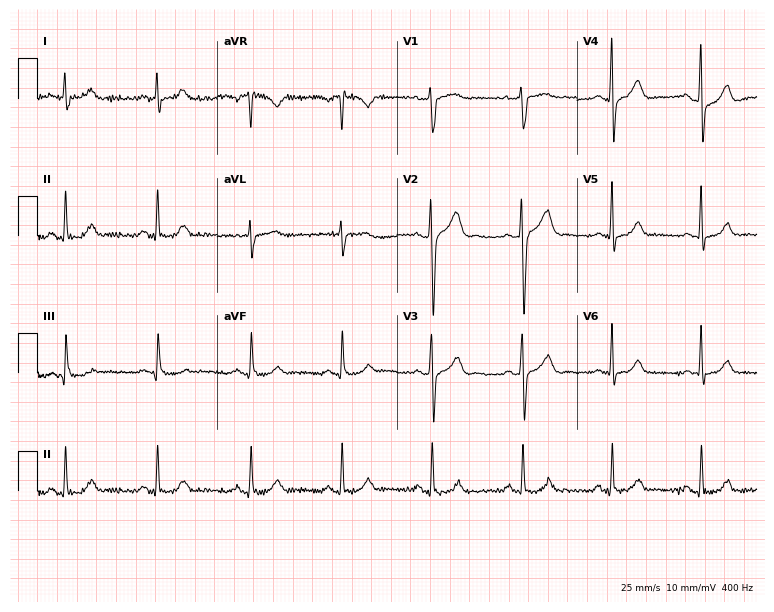
12-lead ECG from a male, 52 years old. Labelled as a normal ECG.